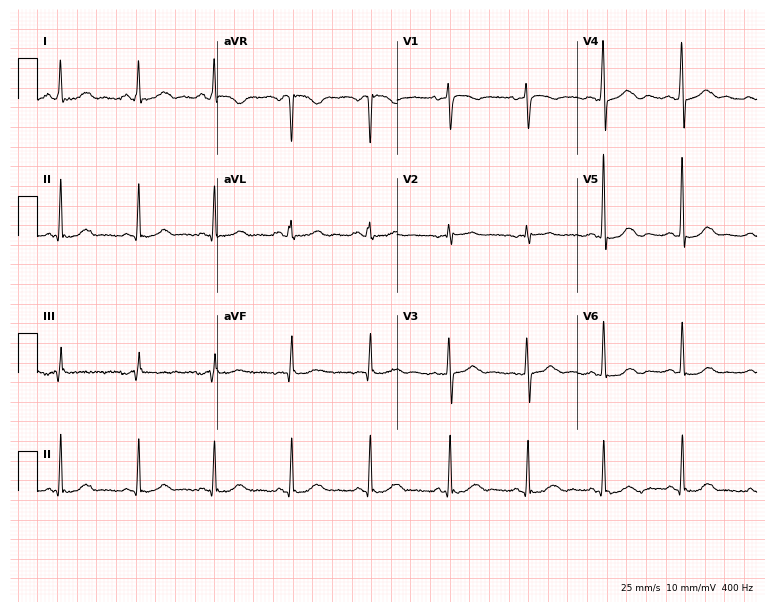
Electrocardiogram, a 47-year-old woman. Of the six screened findings (first-degree AV block, right bundle branch block, left bundle branch block, sinus bradycardia, atrial fibrillation, sinus tachycardia), none is recorded. Other findings, if any, are not listed.